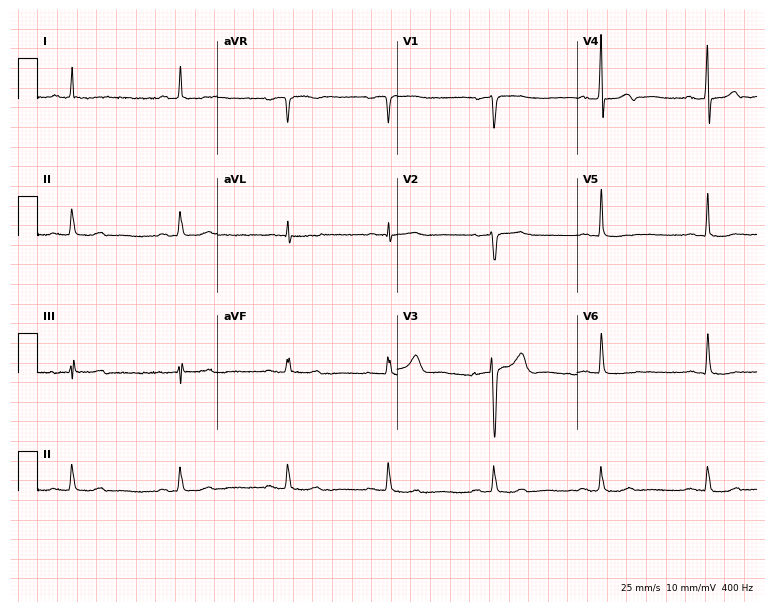
Resting 12-lead electrocardiogram. Patient: a female, 57 years old. None of these six findings is recorded: first-degree AV block, right bundle branch block, left bundle branch block, sinus bradycardia, atrial fibrillation, sinus tachycardia. Other findings, if any, are not listed.